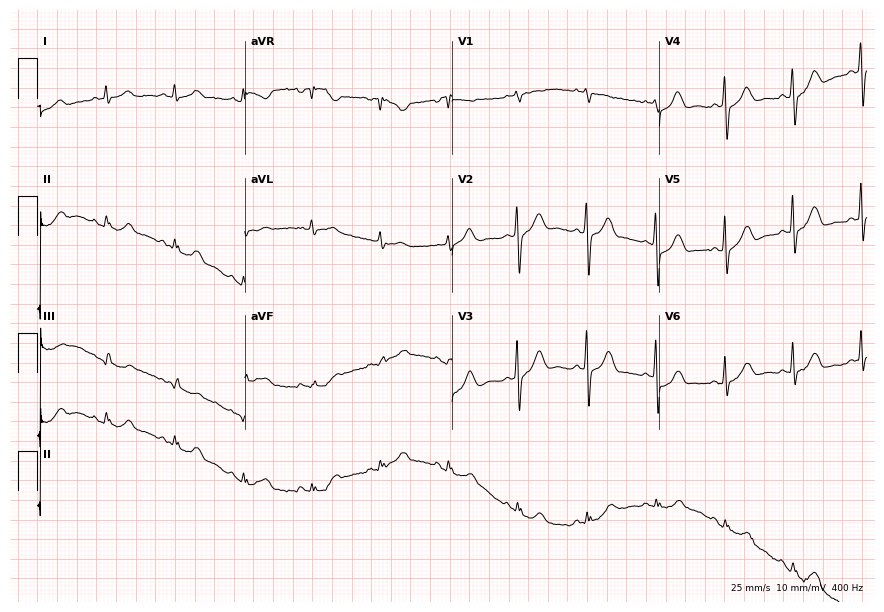
Resting 12-lead electrocardiogram. Patient: an 82-year-old female. None of these six findings is recorded: first-degree AV block, right bundle branch block, left bundle branch block, sinus bradycardia, atrial fibrillation, sinus tachycardia.